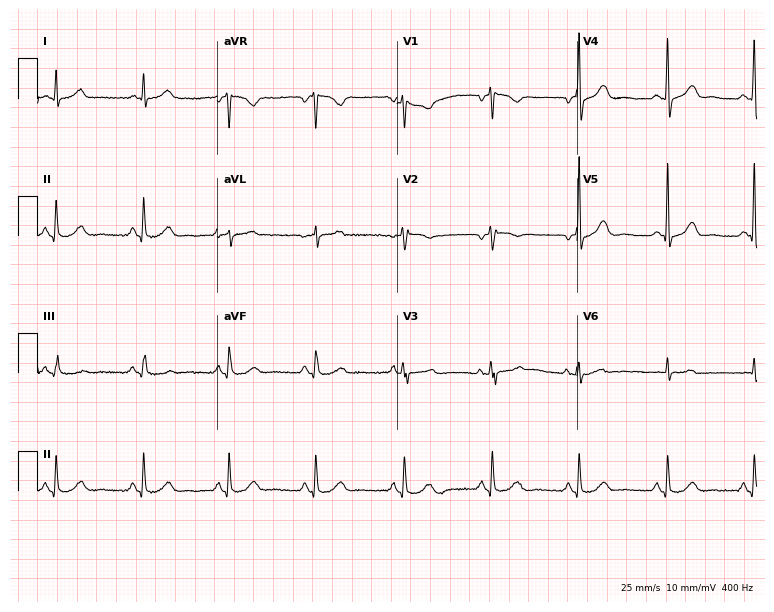
Standard 12-lead ECG recorded from a female, 62 years old (7.3-second recording at 400 Hz). Read as a normal ECG.